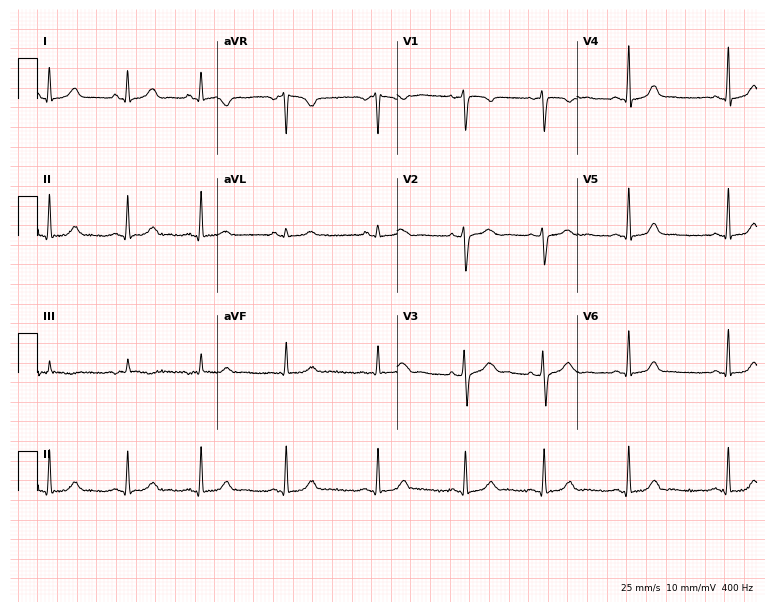
Resting 12-lead electrocardiogram. Patient: a 26-year-old woman. Read as a normal ECG.